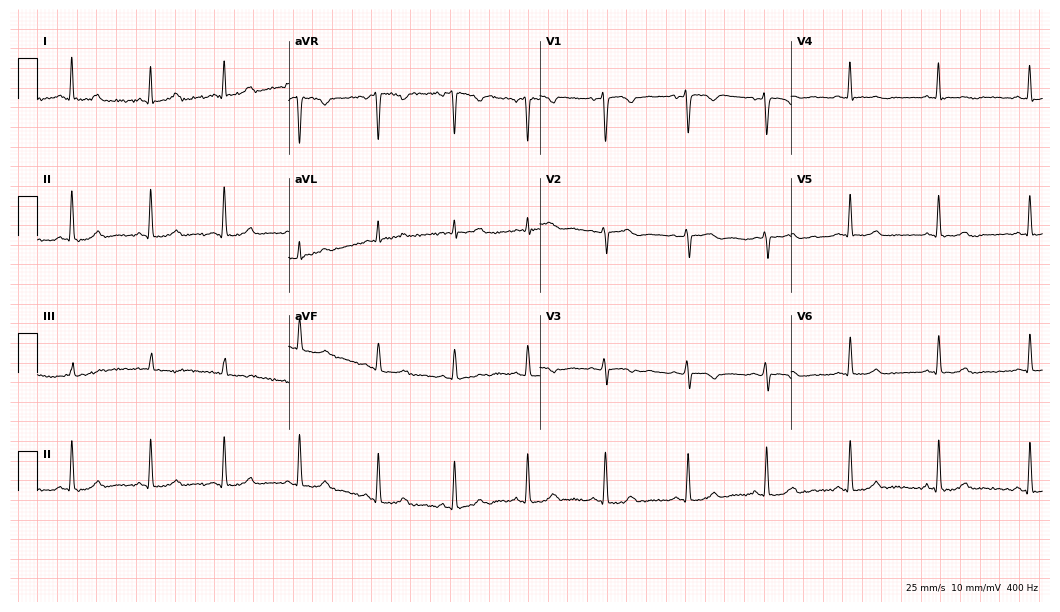
12-lead ECG from a 30-year-old female patient. Labelled as a normal ECG.